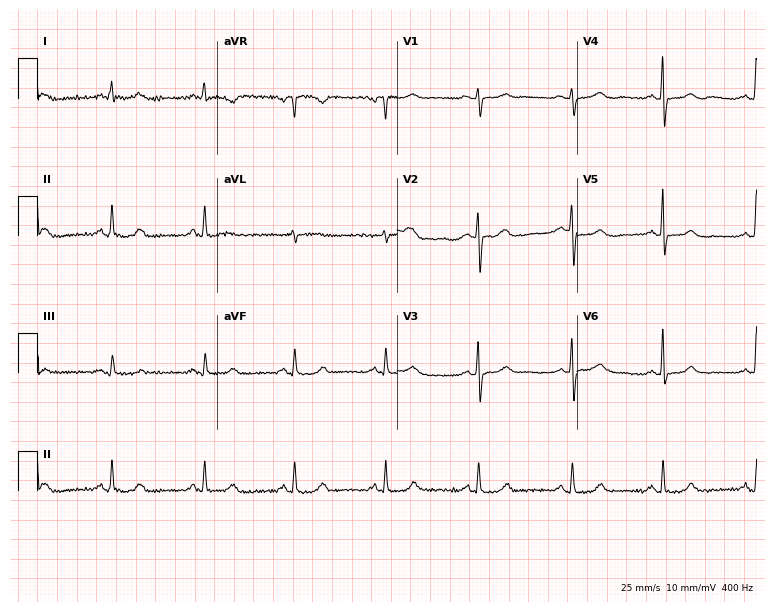
Electrocardiogram (7.3-second recording at 400 Hz), a 48-year-old female patient. Of the six screened findings (first-degree AV block, right bundle branch block, left bundle branch block, sinus bradycardia, atrial fibrillation, sinus tachycardia), none is recorded. Other findings, if any, are not listed.